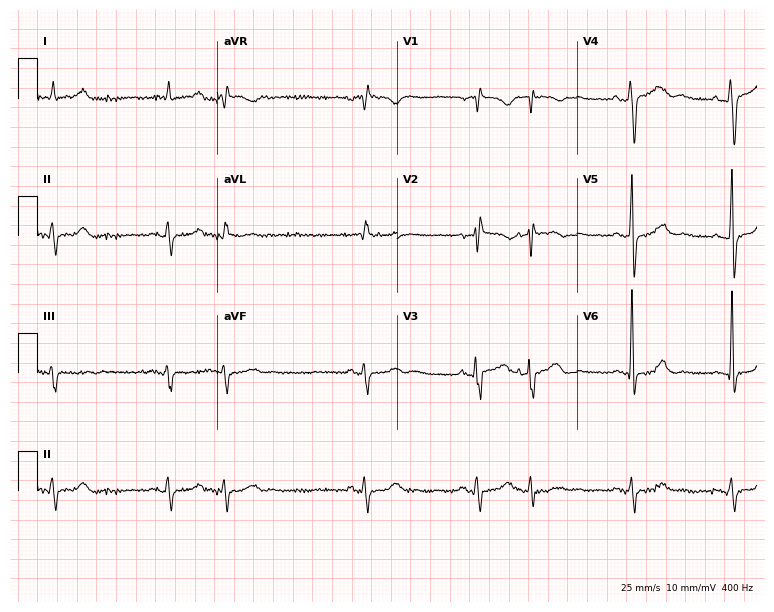
12-lead ECG (7.3-second recording at 400 Hz) from a man, 80 years old. Screened for six findings — first-degree AV block, right bundle branch block (RBBB), left bundle branch block (LBBB), sinus bradycardia, atrial fibrillation (AF), sinus tachycardia — none is recorded.